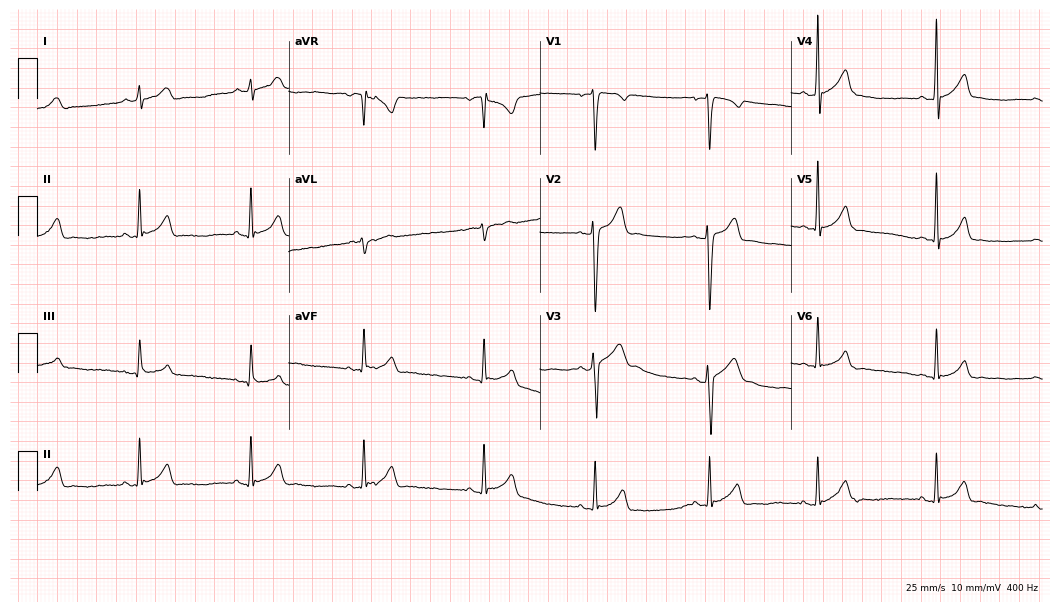
12-lead ECG from a male patient, 20 years old (10.2-second recording at 400 Hz). Recorded interpretation: within normal limits.